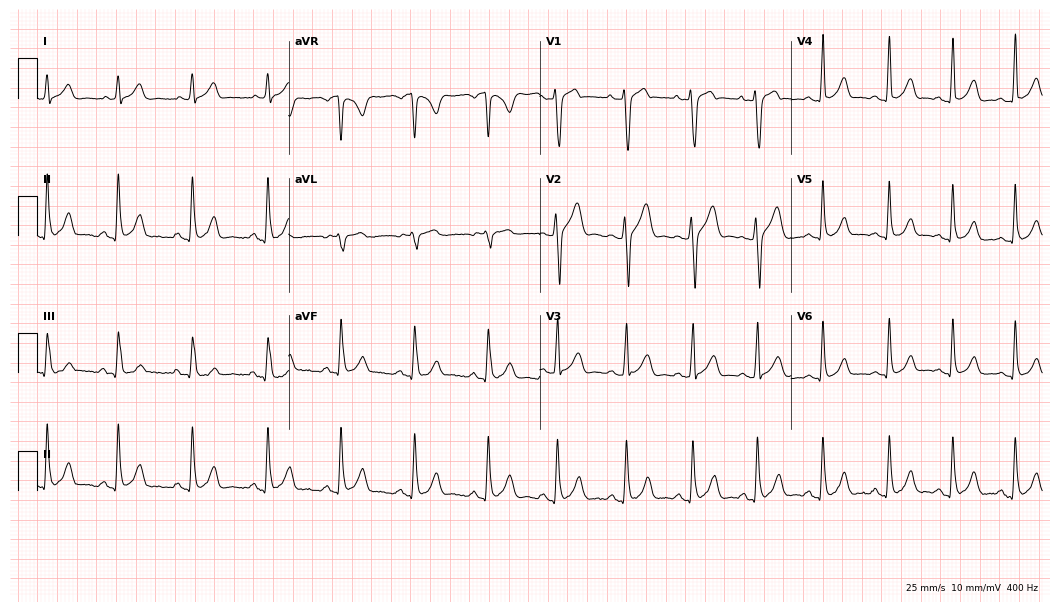
Electrocardiogram (10.2-second recording at 400 Hz), a male, 20 years old. Of the six screened findings (first-degree AV block, right bundle branch block, left bundle branch block, sinus bradycardia, atrial fibrillation, sinus tachycardia), none is recorded. Findings outside these six are not listed.